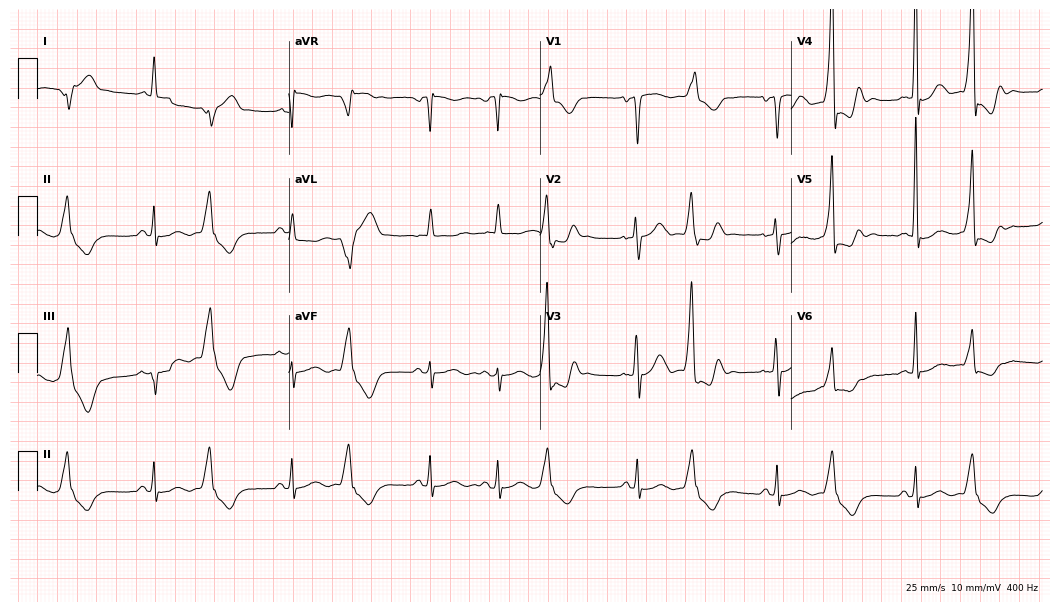
12-lead ECG from a male, 68 years old. Screened for six findings — first-degree AV block, right bundle branch block, left bundle branch block, sinus bradycardia, atrial fibrillation, sinus tachycardia — none is recorded.